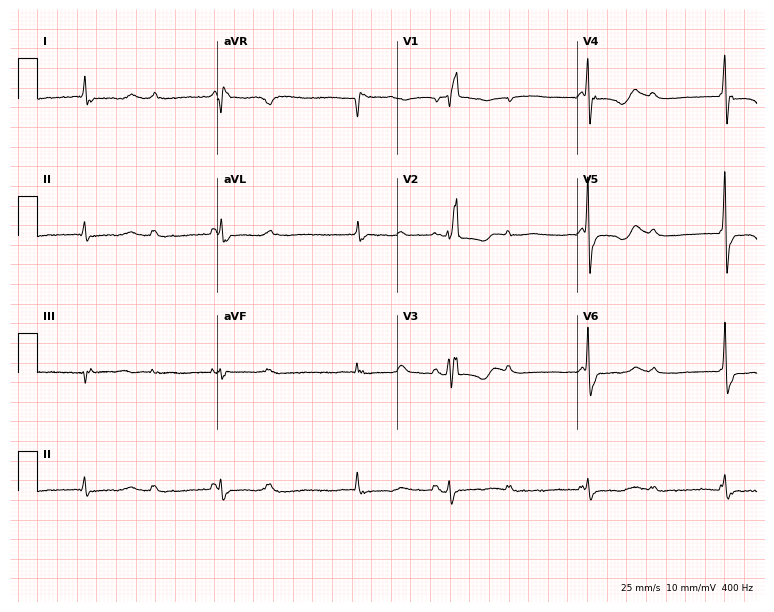
ECG — a female, 70 years old. Screened for six findings — first-degree AV block, right bundle branch block, left bundle branch block, sinus bradycardia, atrial fibrillation, sinus tachycardia — none is recorded.